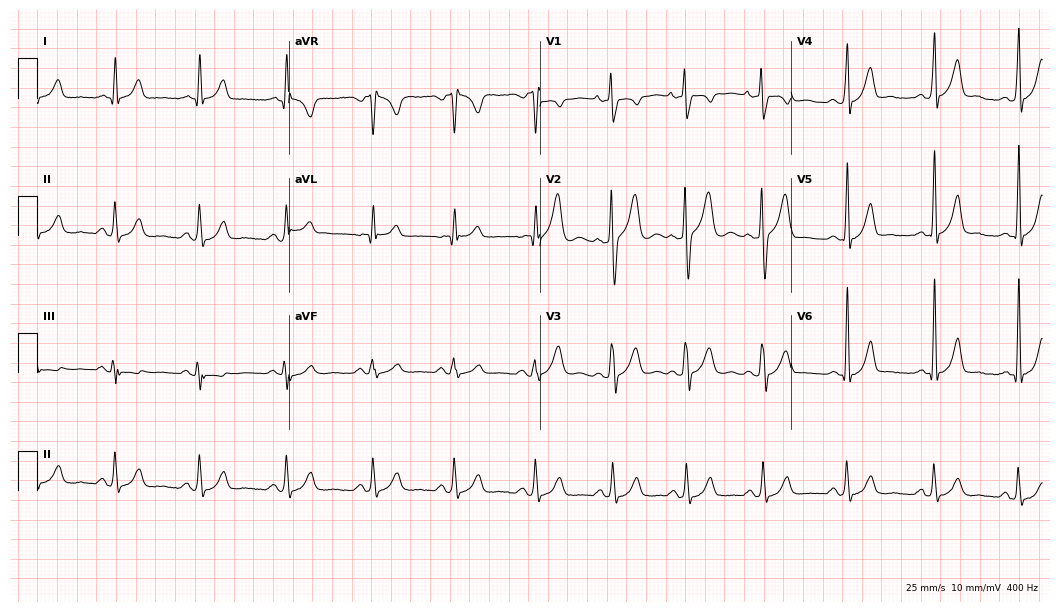
Resting 12-lead electrocardiogram (10.2-second recording at 400 Hz). Patient: a man, 26 years old. None of these six findings is recorded: first-degree AV block, right bundle branch block, left bundle branch block, sinus bradycardia, atrial fibrillation, sinus tachycardia. Findings outside these six are not listed.